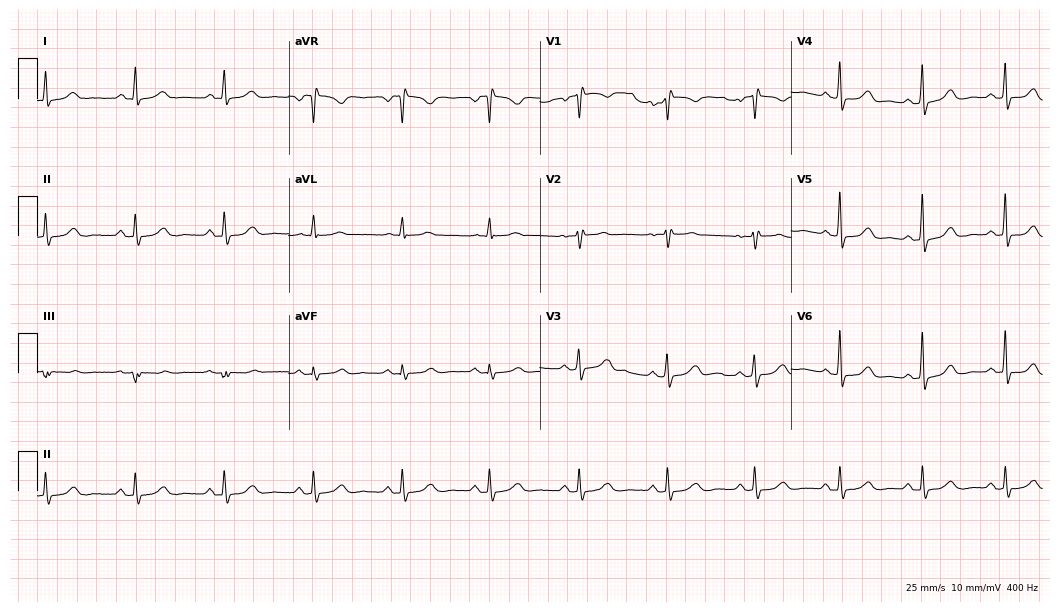
Standard 12-lead ECG recorded from a 46-year-old woman. None of these six findings is recorded: first-degree AV block, right bundle branch block, left bundle branch block, sinus bradycardia, atrial fibrillation, sinus tachycardia.